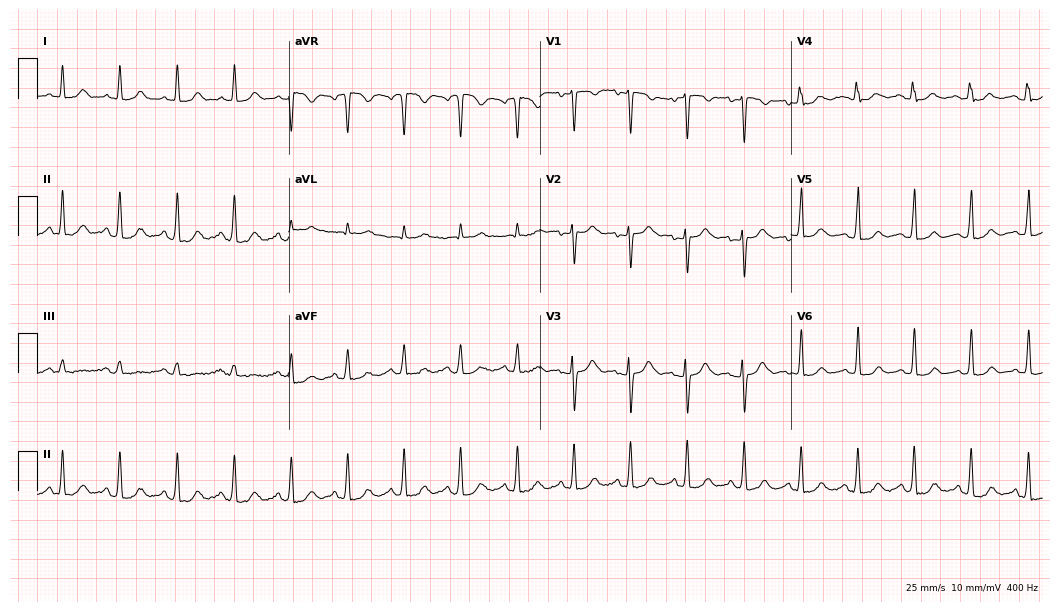
Electrocardiogram, a female, 41 years old. Interpretation includes sinus tachycardia (a sinus rate of 100 beats per minute or more).